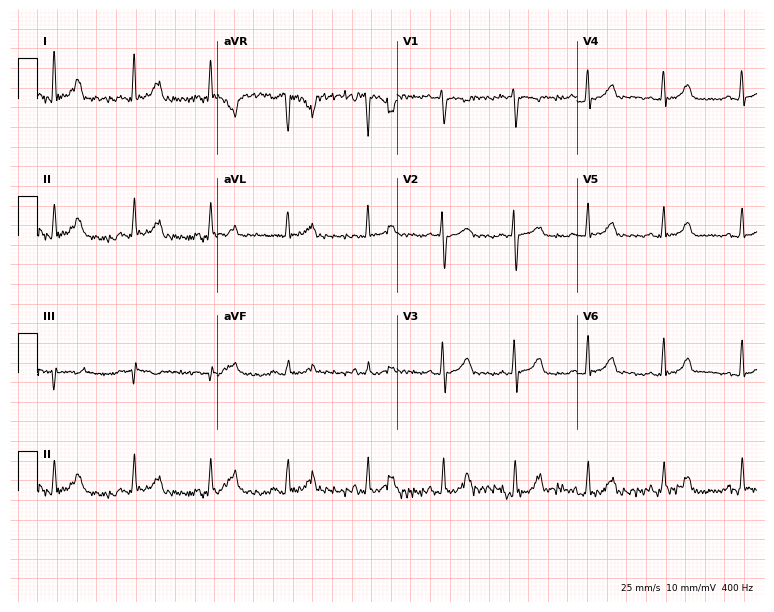
12-lead ECG from a 34-year-old female. No first-degree AV block, right bundle branch block (RBBB), left bundle branch block (LBBB), sinus bradycardia, atrial fibrillation (AF) or sinus tachycardia recorded for this tracing.